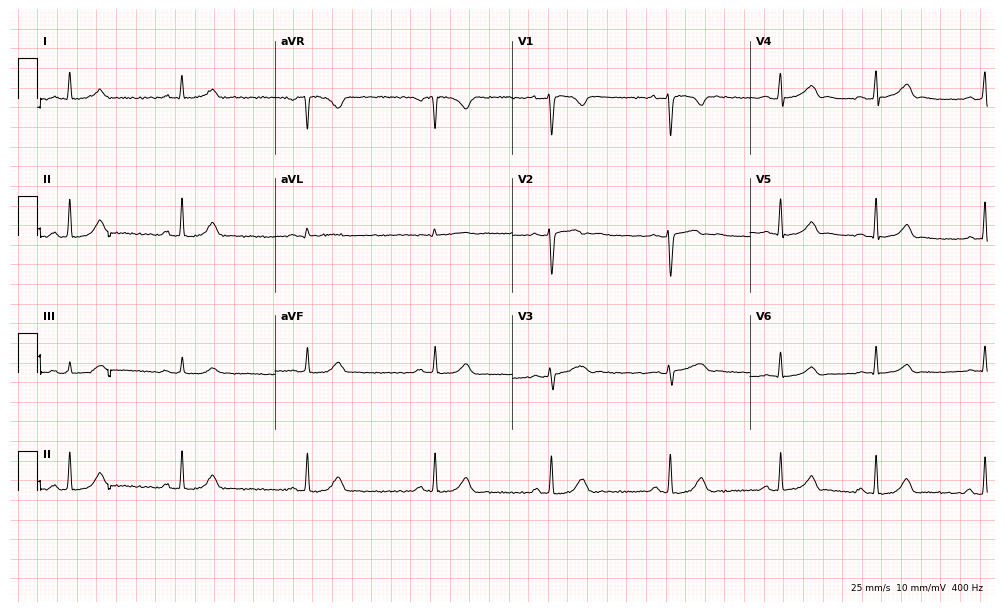
ECG (9.7-second recording at 400 Hz) — a female, 23 years old. Screened for six findings — first-degree AV block, right bundle branch block, left bundle branch block, sinus bradycardia, atrial fibrillation, sinus tachycardia — none is recorded.